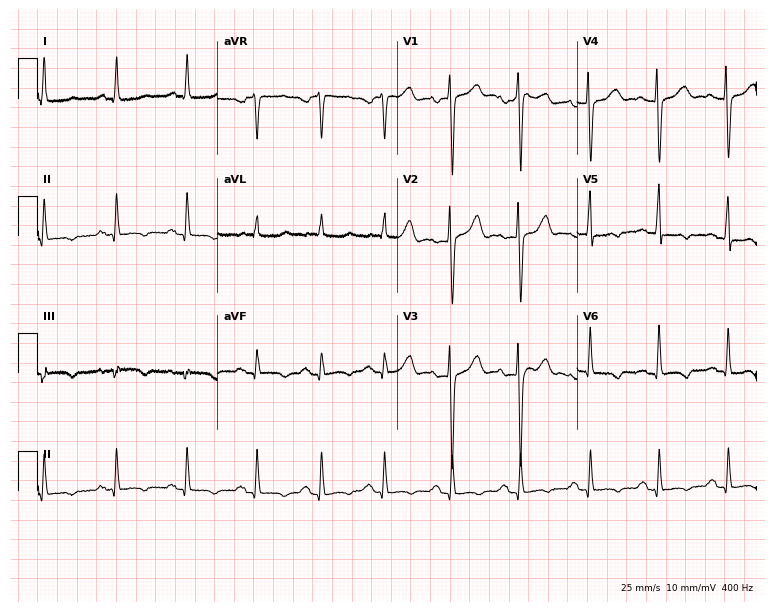
12-lead ECG from a female, 35 years old (7.3-second recording at 400 Hz). No first-degree AV block, right bundle branch block, left bundle branch block, sinus bradycardia, atrial fibrillation or sinus tachycardia recorded for this tracing.